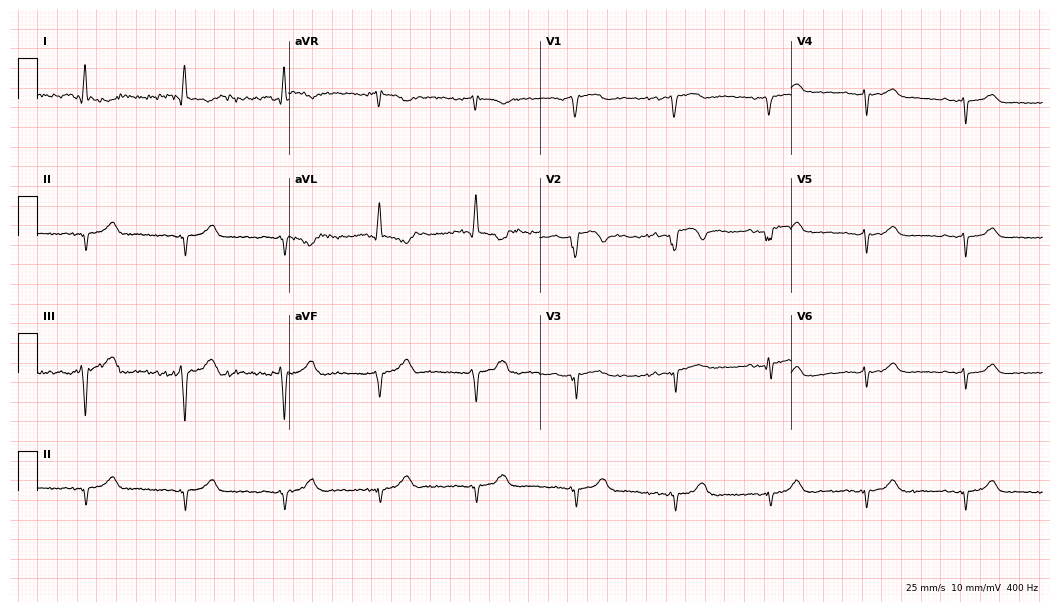
Standard 12-lead ECG recorded from a male patient, 84 years old (10.2-second recording at 400 Hz). None of these six findings is recorded: first-degree AV block, right bundle branch block, left bundle branch block, sinus bradycardia, atrial fibrillation, sinus tachycardia.